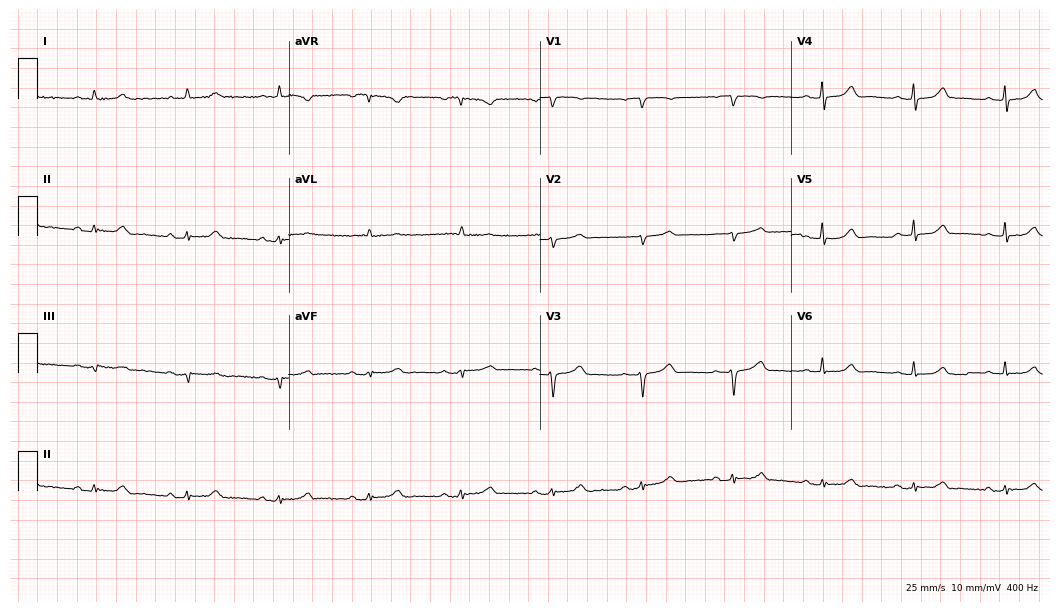
Electrocardiogram, a woman, 82 years old. Of the six screened findings (first-degree AV block, right bundle branch block (RBBB), left bundle branch block (LBBB), sinus bradycardia, atrial fibrillation (AF), sinus tachycardia), none is recorded.